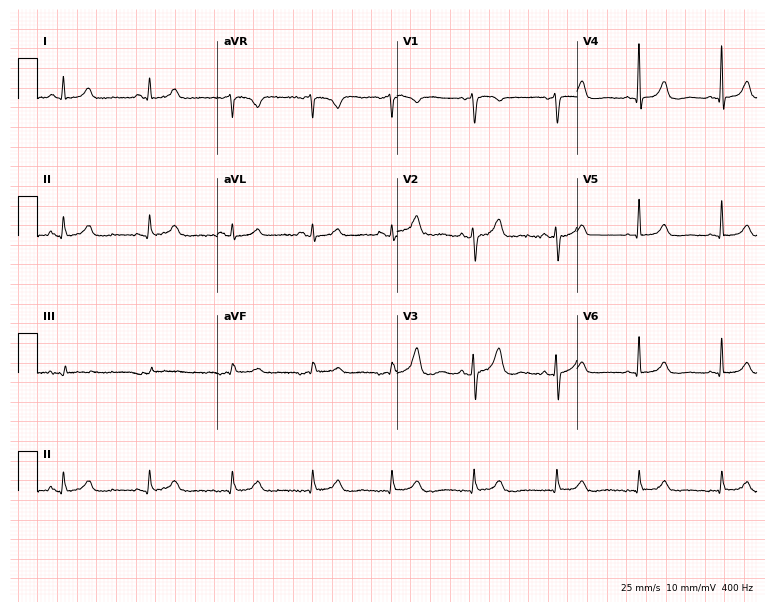
Electrocardiogram (7.3-second recording at 400 Hz), a female patient, 83 years old. Overall reading on record: normal ECG.